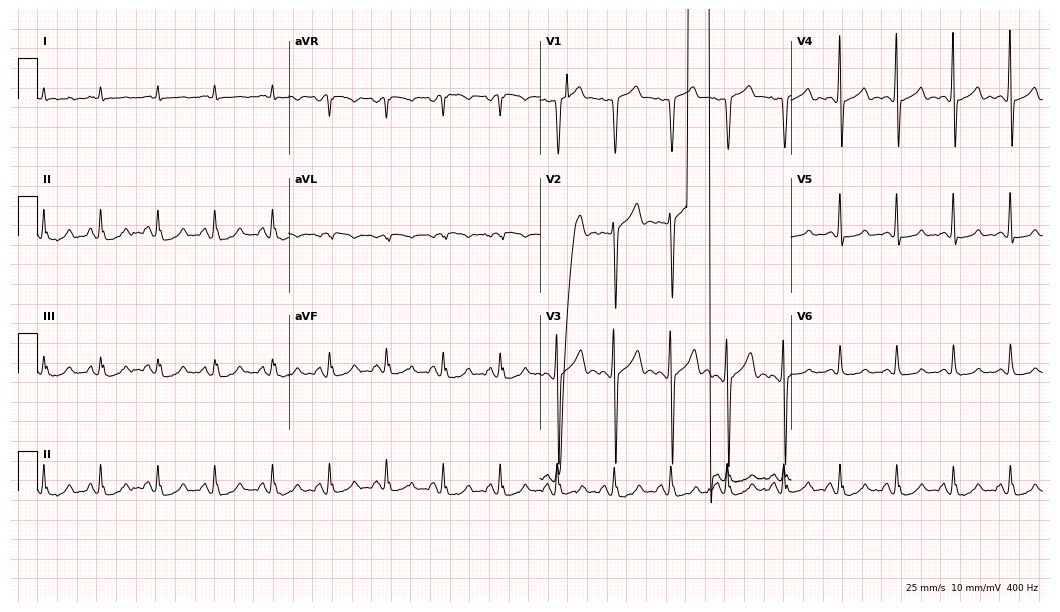
Standard 12-lead ECG recorded from a male patient, 41 years old (10.2-second recording at 400 Hz). The tracing shows sinus tachycardia (a sinus rate of 100 beats per minute or more).